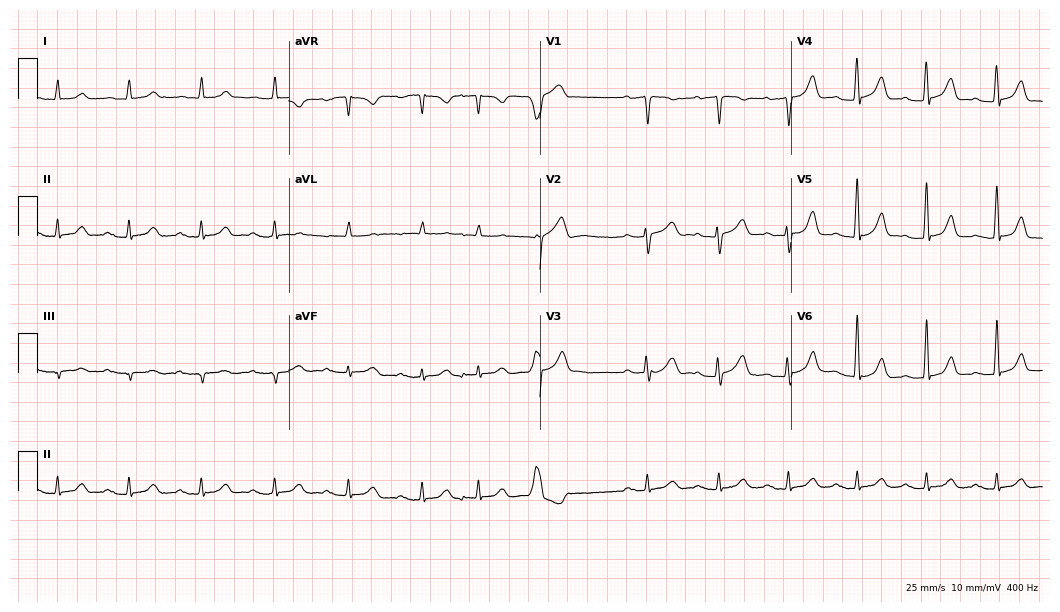
Resting 12-lead electrocardiogram. Patient: a 75-year-old male. Read as a normal ECG.